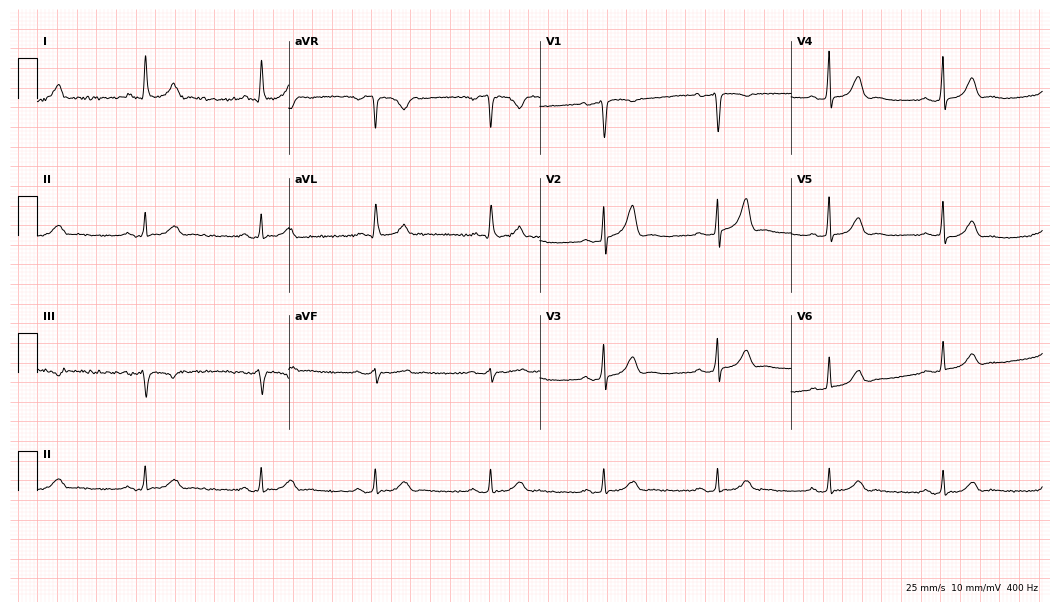
Electrocardiogram (10.2-second recording at 400 Hz), a female, 73 years old. Of the six screened findings (first-degree AV block, right bundle branch block (RBBB), left bundle branch block (LBBB), sinus bradycardia, atrial fibrillation (AF), sinus tachycardia), none is recorded.